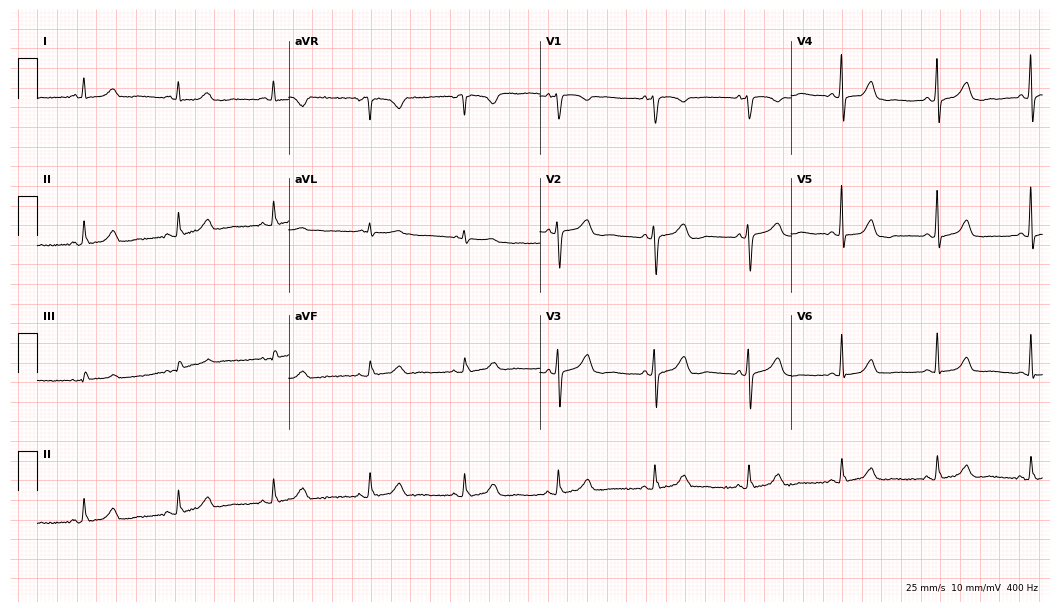
Electrocardiogram, a 59-year-old female patient. Overall reading on record: normal ECG.